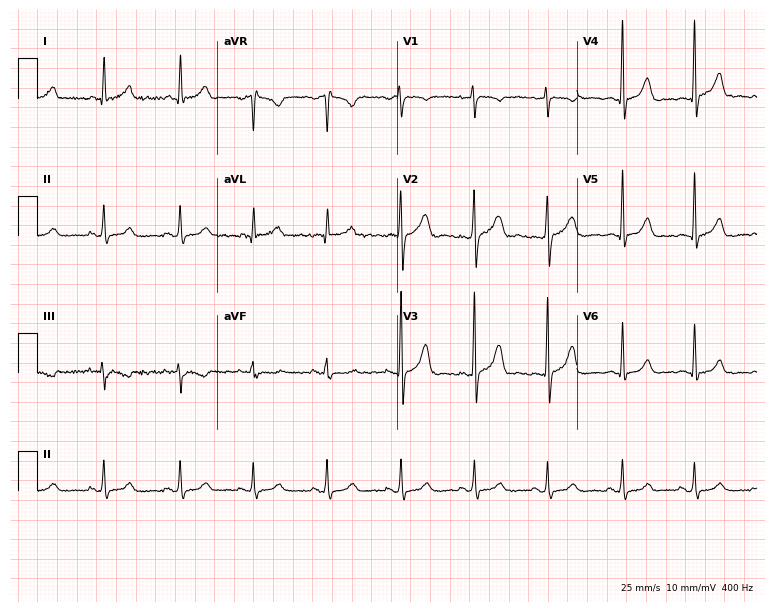
12-lead ECG from a female patient, 47 years old (7.3-second recording at 400 Hz). No first-degree AV block, right bundle branch block, left bundle branch block, sinus bradycardia, atrial fibrillation or sinus tachycardia recorded for this tracing.